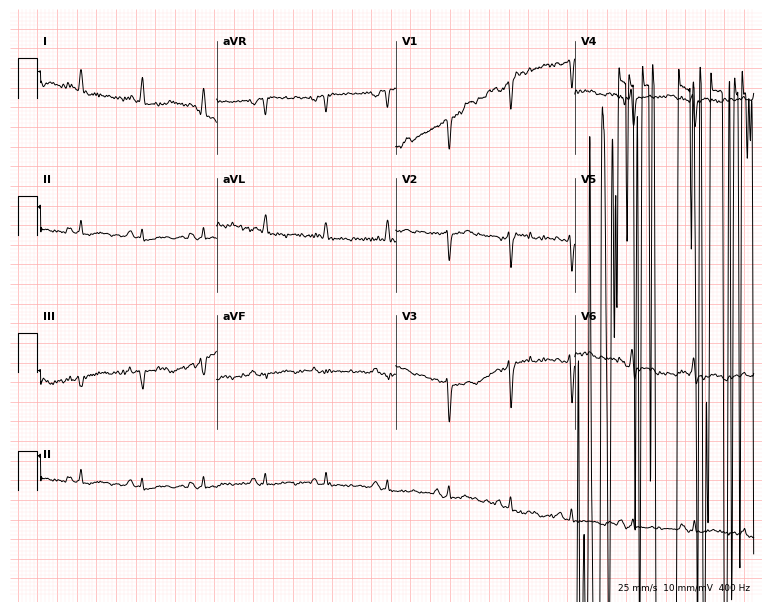
12-lead ECG from a 52-year-old female patient. No first-degree AV block, right bundle branch block (RBBB), left bundle branch block (LBBB), sinus bradycardia, atrial fibrillation (AF) or sinus tachycardia recorded for this tracing. Only these six findings were labelled.